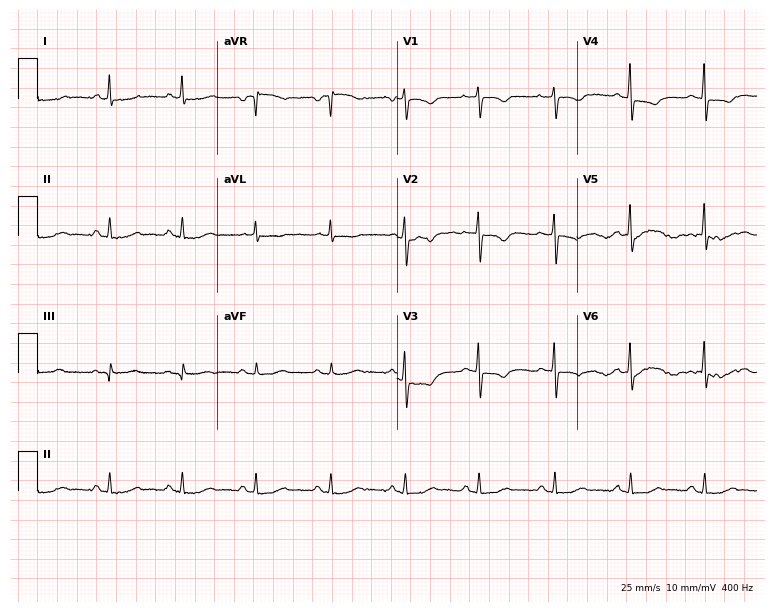
12-lead ECG from a woman, 72 years old (7.3-second recording at 400 Hz). No first-degree AV block, right bundle branch block (RBBB), left bundle branch block (LBBB), sinus bradycardia, atrial fibrillation (AF) or sinus tachycardia recorded for this tracing.